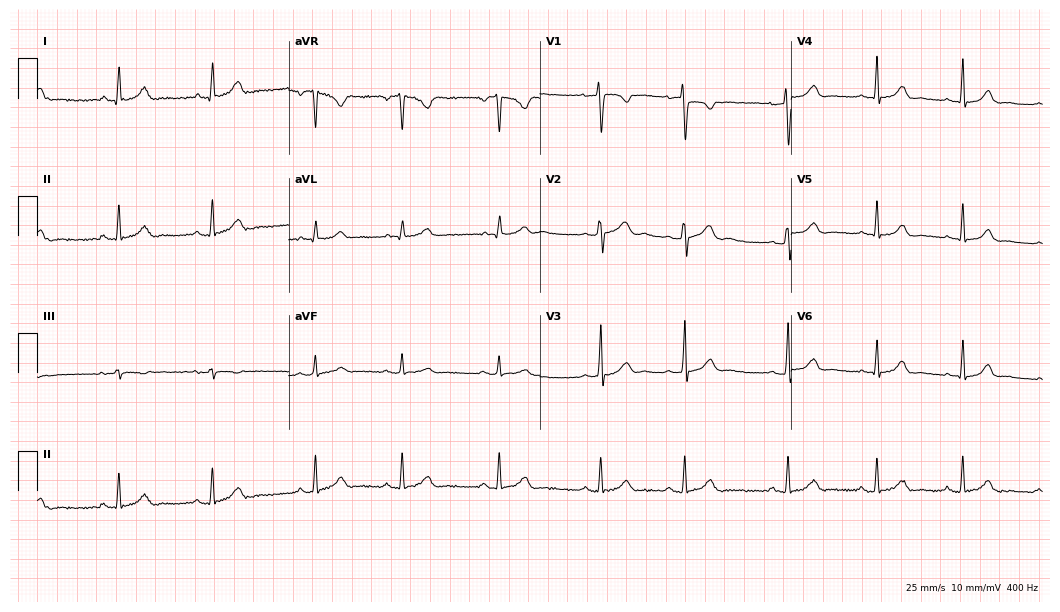
Electrocardiogram, a female, 20 years old. Of the six screened findings (first-degree AV block, right bundle branch block (RBBB), left bundle branch block (LBBB), sinus bradycardia, atrial fibrillation (AF), sinus tachycardia), none is recorded. Other findings, if any, are not listed.